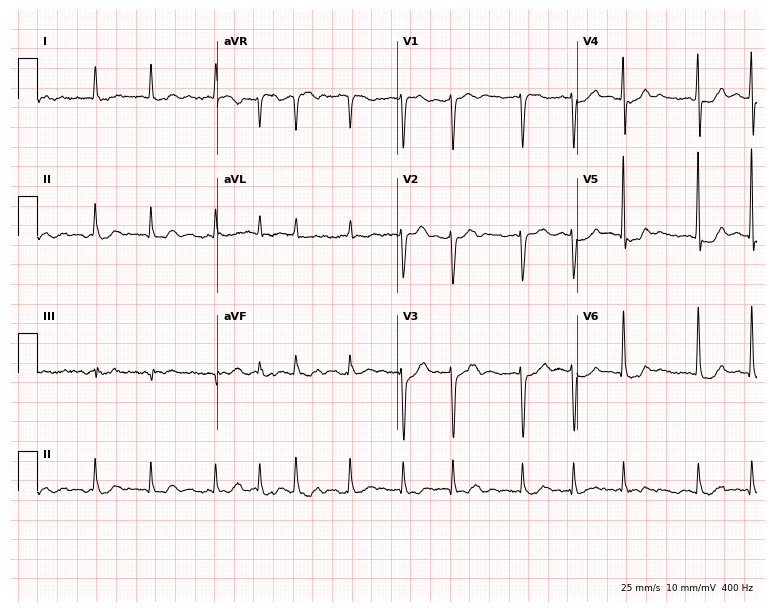
Resting 12-lead electrocardiogram. Patient: a female, 80 years old. None of these six findings is recorded: first-degree AV block, right bundle branch block, left bundle branch block, sinus bradycardia, atrial fibrillation, sinus tachycardia. Findings outside these six are not listed.